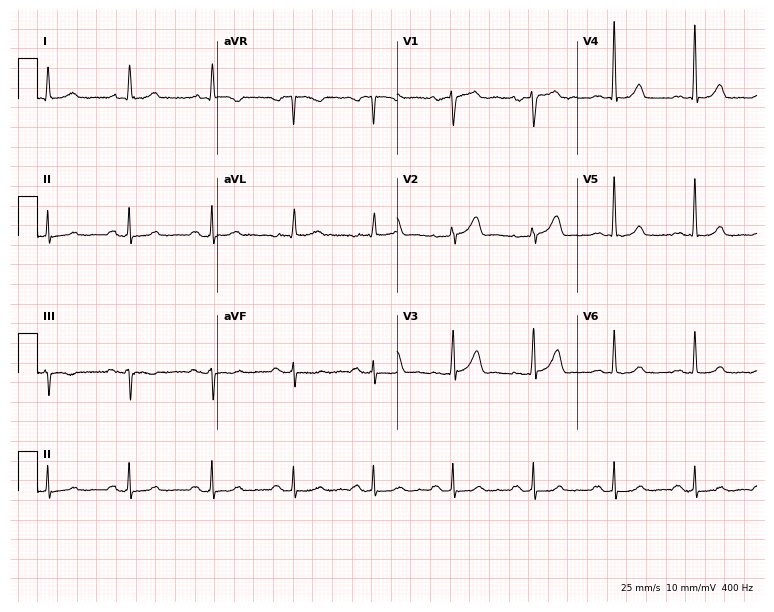
Resting 12-lead electrocardiogram (7.3-second recording at 400 Hz). Patient: a 73-year-old woman. None of these six findings is recorded: first-degree AV block, right bundle branch block, left bundle branch block, sinus bradycardia, atrial fibrillation, sinus tachycardia.